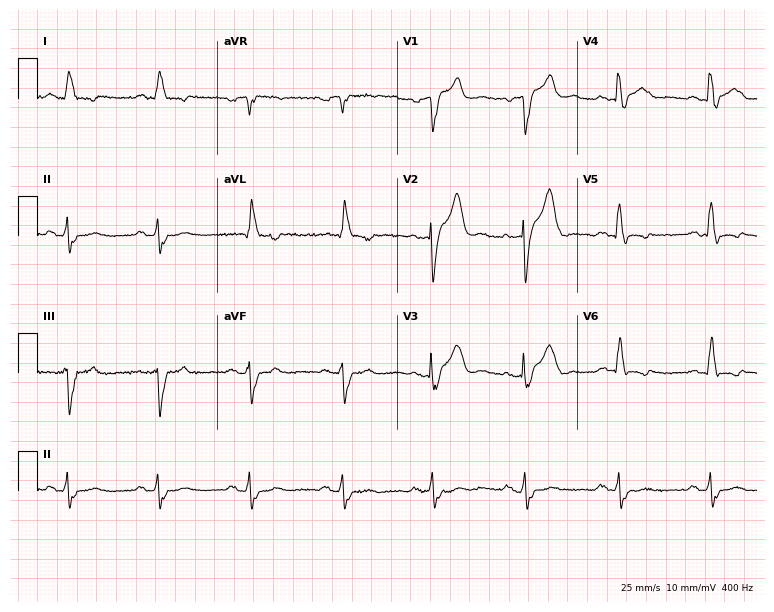
Resting 12-lead electrocardiogram (7.3-second recording at 400 Hz). Patient: a male, 61 years old. The tracing shows left bundle branch block.